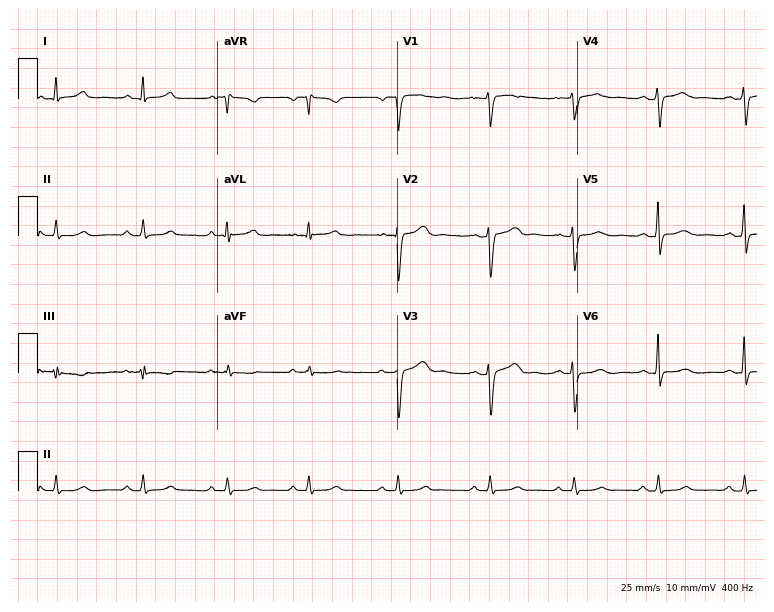
Resting 12-lead electrocardiogram (7.3-second recording at 400 Hz). Patient: a 28-year-old woman. Read as a normal ECG.